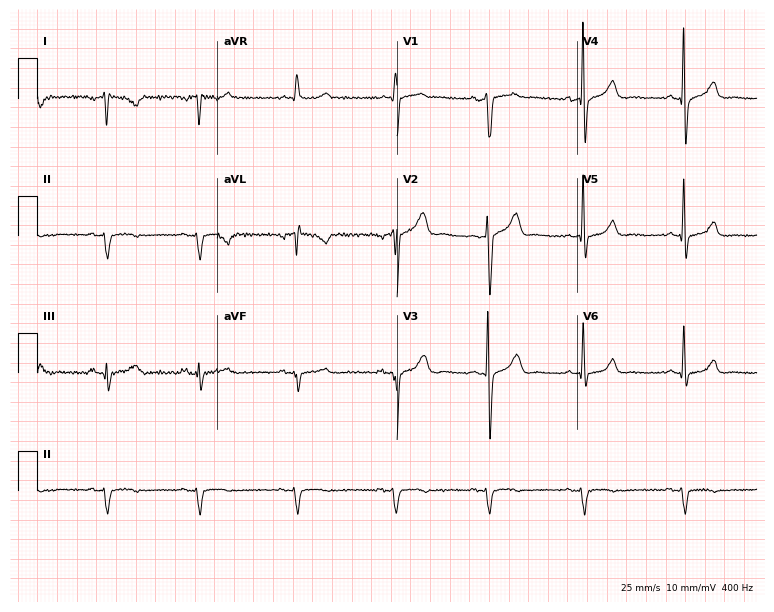
ECG (7.3-second recording at 400 Hz) — a 60-year-old male. Screened for six findings — first-degree AV block, right bundle branch block, left bundle branch block, sinus bradycardia, atrial fibrillation, sinus tachycardia — none is recorded.